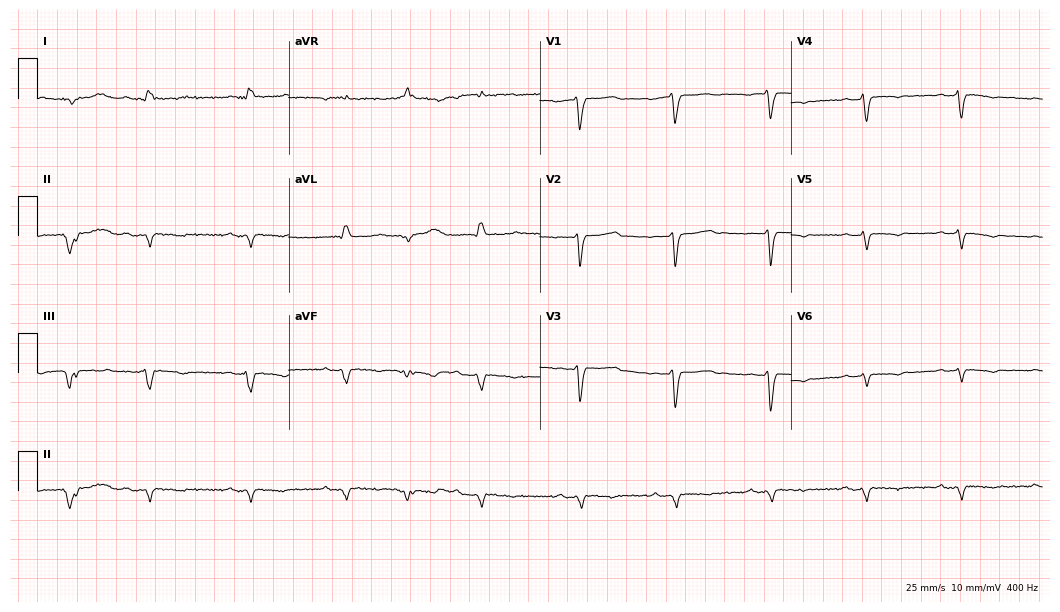
Electrocardiogram (10.2-second recording at 400 Hz), a female patient, 70 years old. Of the six screened findings (first-degree AV block, right bundle branch block (RBBB), left bundle branch block (LBBB), sinus bradycardia, atrial fibrillation (AF), sinus tachycardia), none is recorded.